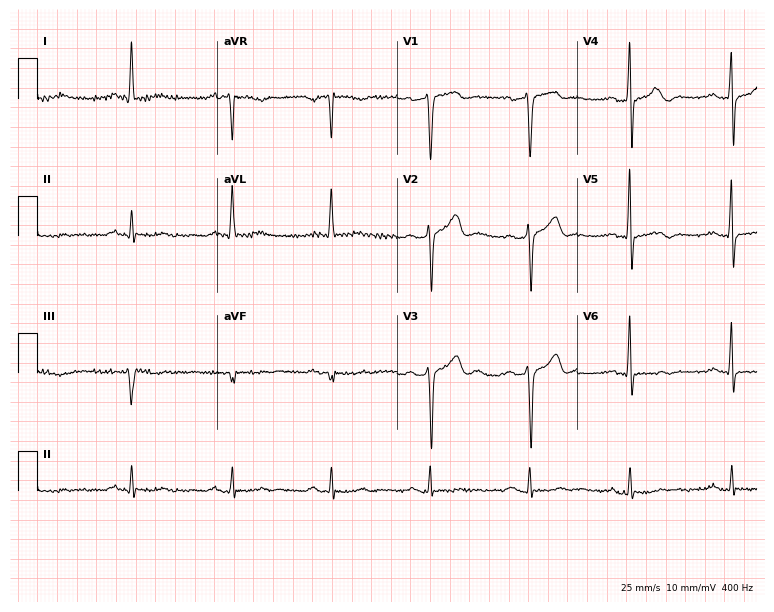
ECG — a male patient, 73 years old. Labelled as a normal ECG.